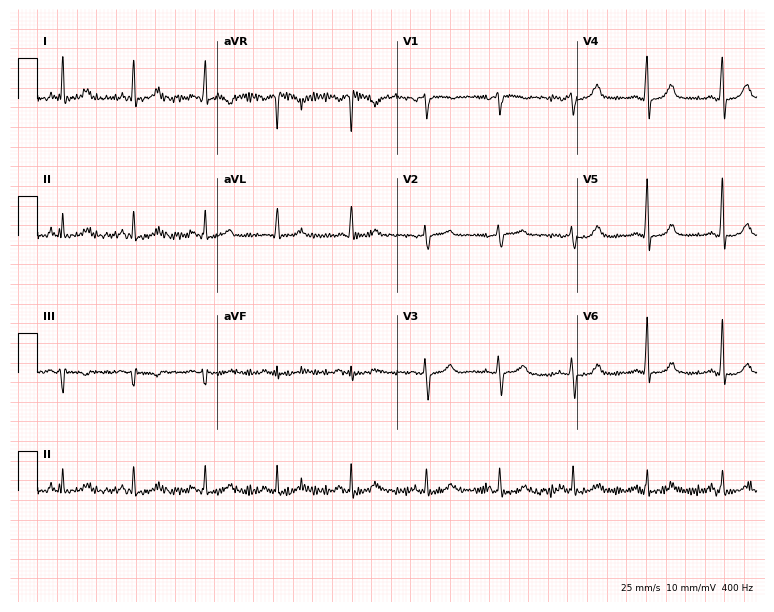
Electrocardiogram (7.3-second recording at 400 Hz), a 55-year-old female patient. Of the six screened findings (first-degree AV block, right bundle branch block, left bundle branch block, sinus bradycardia, atrial fibrillation, sinus tachycardia), none is recorded. Only these six findings were labelled.